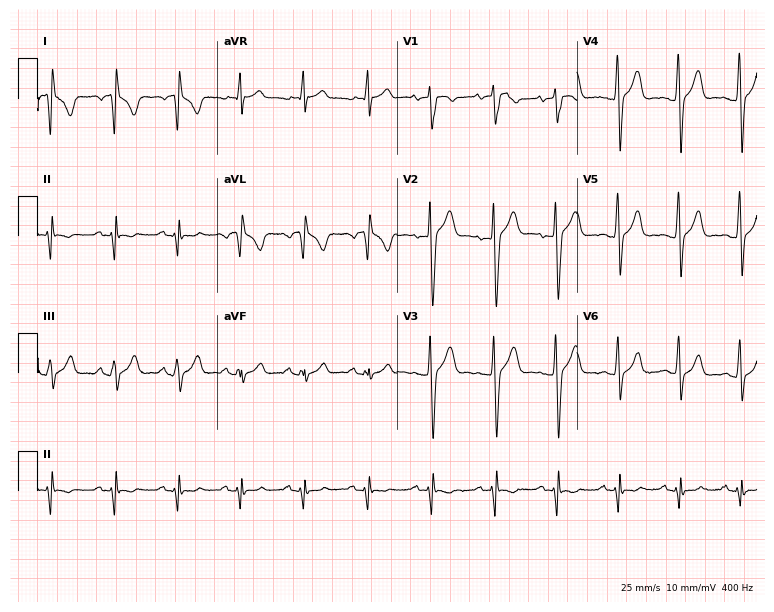
Resting 12-lead electrocardiogram (7.3-second recording at 400 Hz). Patient: a male, 19 years old. None of these six findings is recorded: first-degree AV block, right bundle branch block (RBBB), left bundle branch block (LBBB), sinus bradycardia, atrial fibrillation (AF), sinus tachycardia.